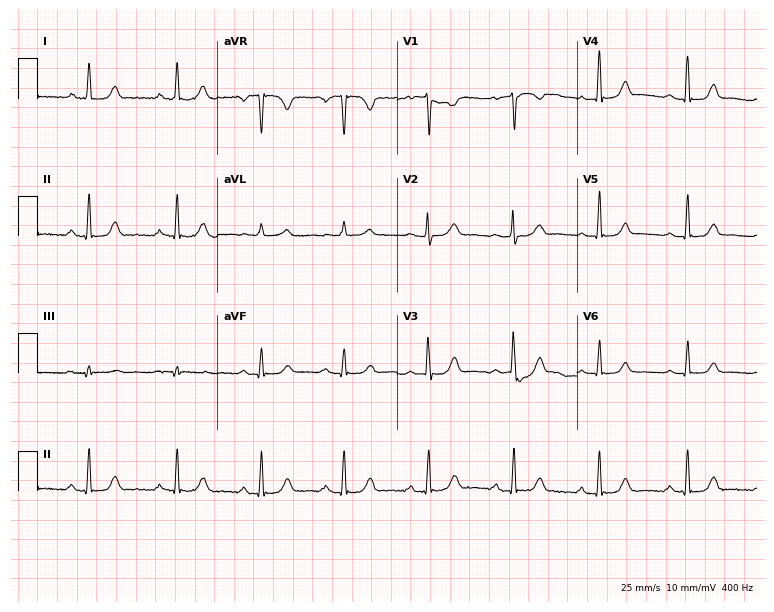
12-lead ECG (7.3-second recording at 400 Hz) from a female, 62 years old. Screened for six findings — first-degree AV block, right bundle branch block (RBBB), left bundle branch block (LBBB), sinus bradycardia, atrial fibrillation (AF), sinus tachycardia — none is recorded.